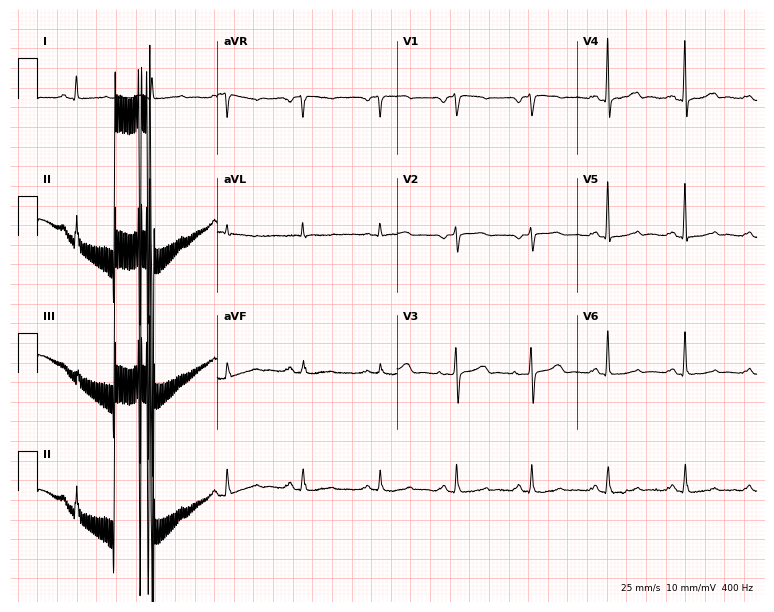
12-lead ECG from a female, 76 years old. Labelled as a normal ECG.